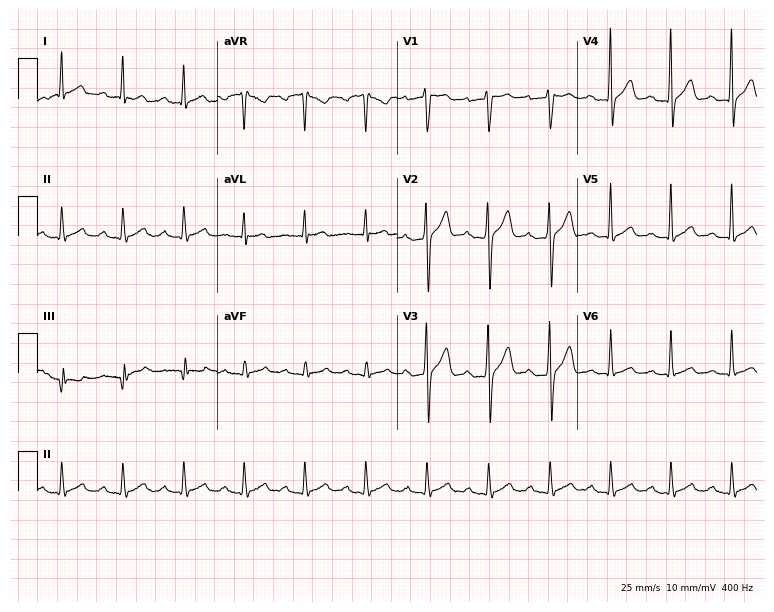
Electrocardiogram, a male, 26 years old. Overall reading on record: normal ECG.